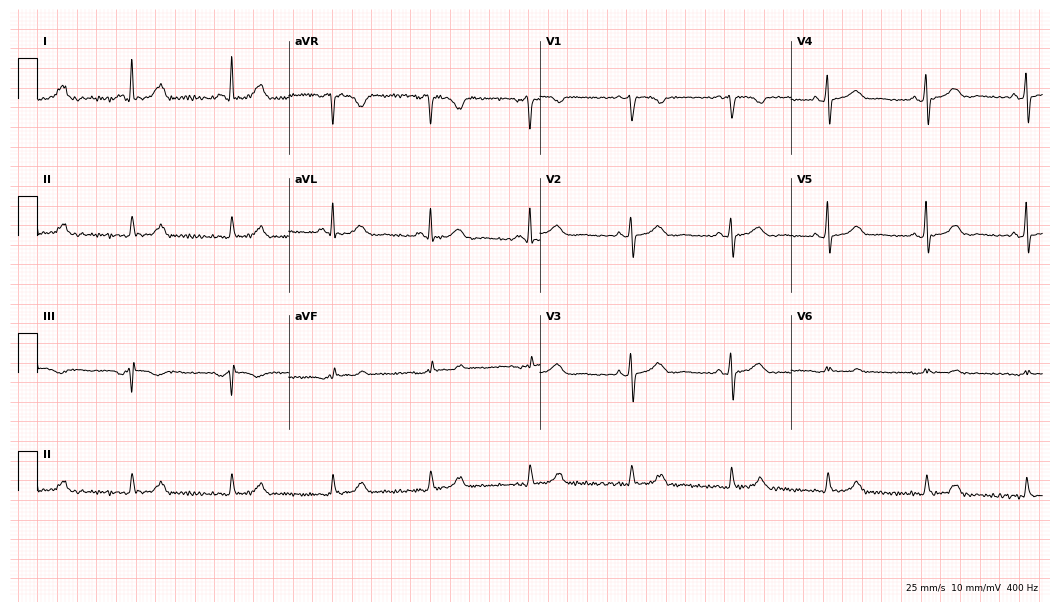
Electrocardiogram (10.2-second recording at 400 Hz), a 61-year-old female patient. Overall reading on record: normal ECG.